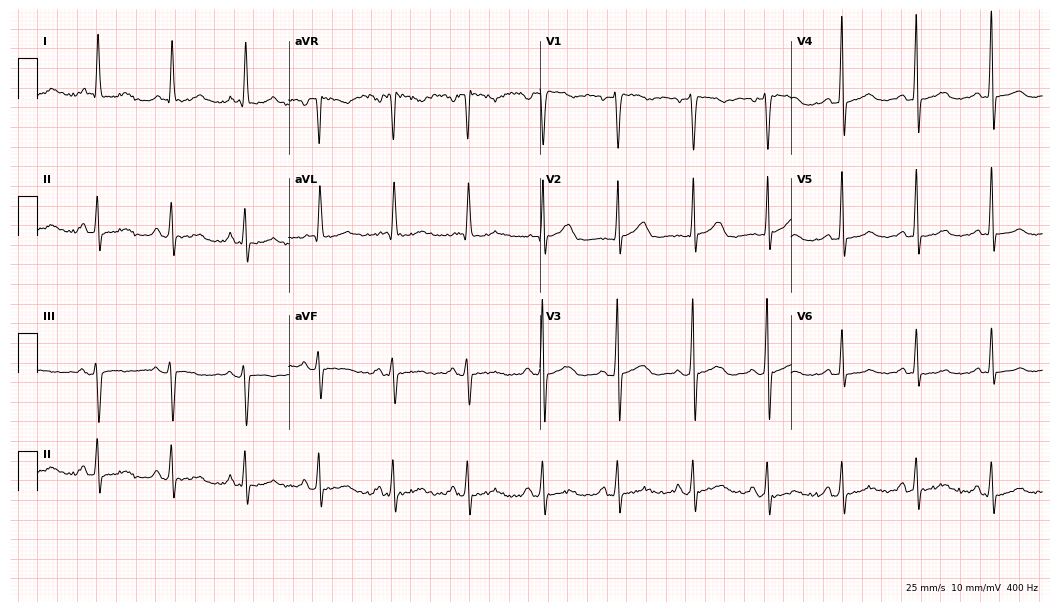
Standard 12-lead ECG recorded from a female, 81 years old (10.2-second recording at 400 Hz). None of these six findings is recorded: first-degree AV block, right bundle branch block, left bundle branch block, sinus bradycardia, atrial fibrillation, sinus tachycardia. Other findings, if any, are not listed.